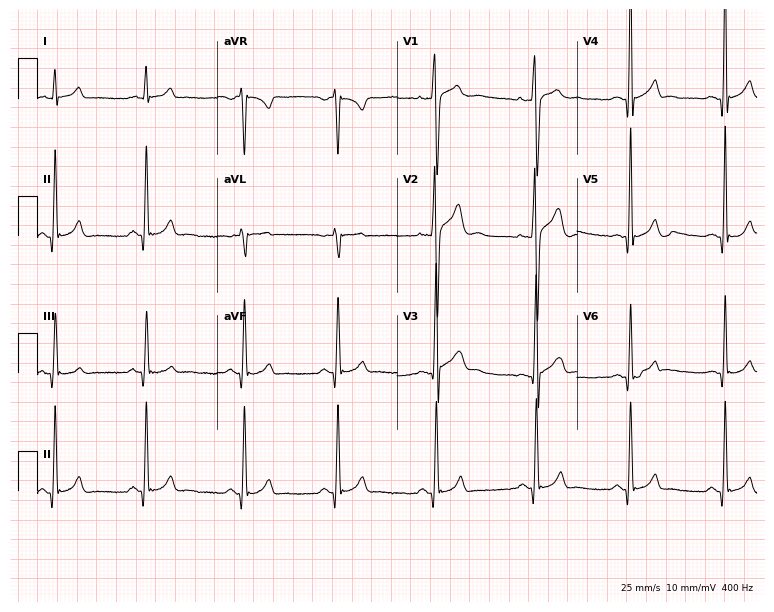
12-lead ECG (7.3-second recording at 400 Hz) from a man, 21 years old. Labelled as a normal ECG.